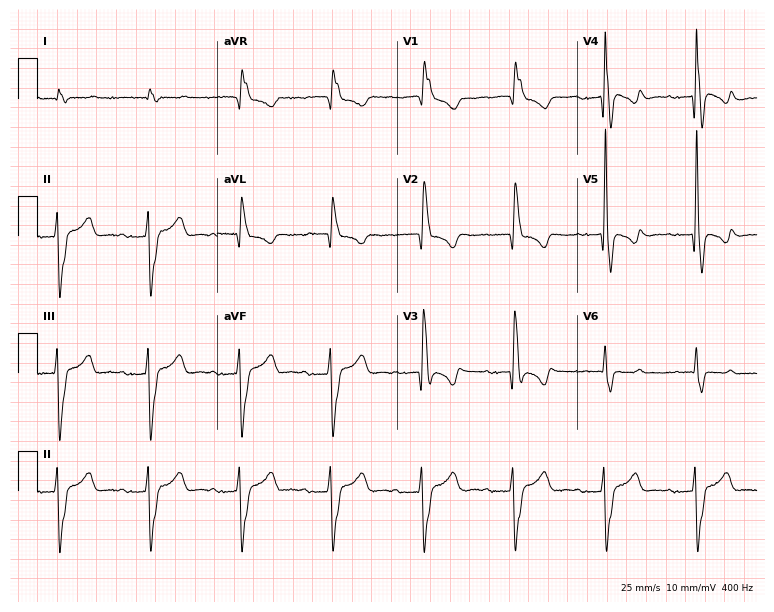
Electrocardiogram, a female, 85 years old. Interpretation includes first-degree AV block, right bundle branch block.